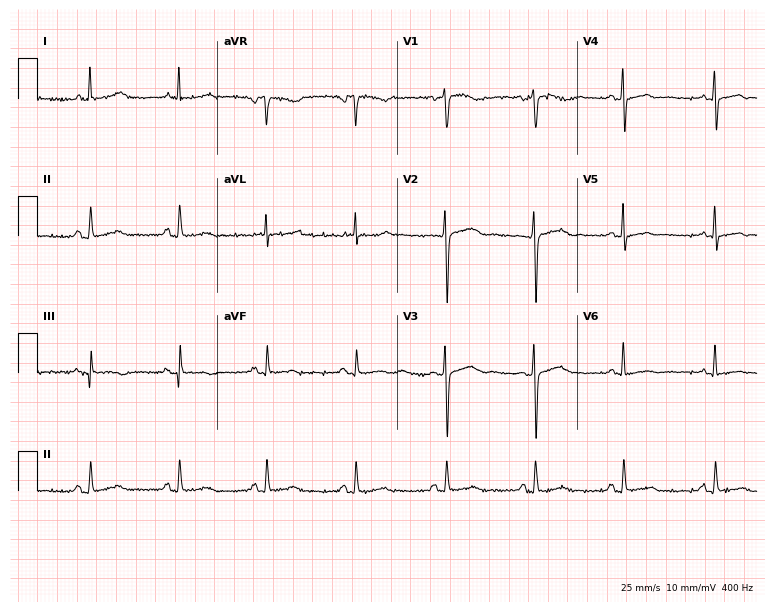
12-lead ECG from an 84-year-old female. Screened for six findings — first-degree AV block, right bundle branch block, left bundle branch block, sinus bradycardia, atrial fibrillation, sinus tachycardia — none is recorded.